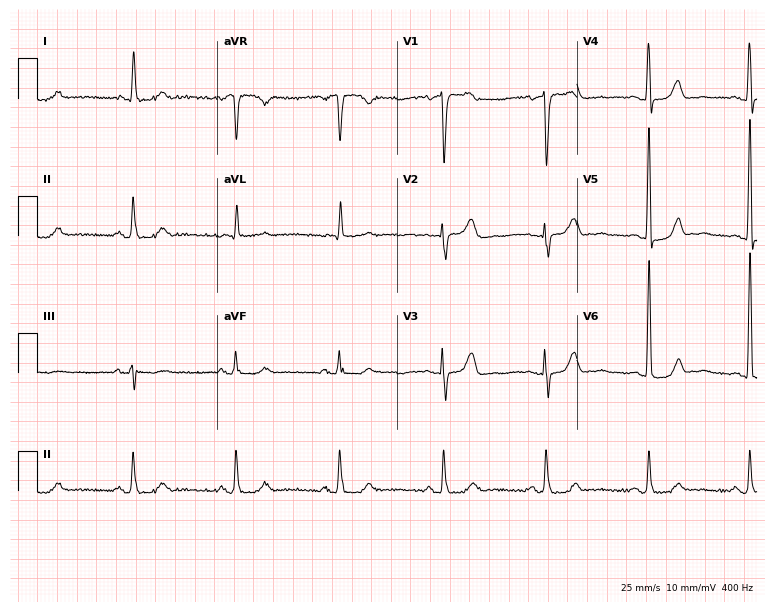
12-lead ECG from a 66-year-old male patient. Screened for six findings — first-degree AV block, right bundle branch block, left bundle branch block, sinus bradycardia, atrial fibrillation, sinus tachycardia — none is recorded. Only these six findings were labelled.